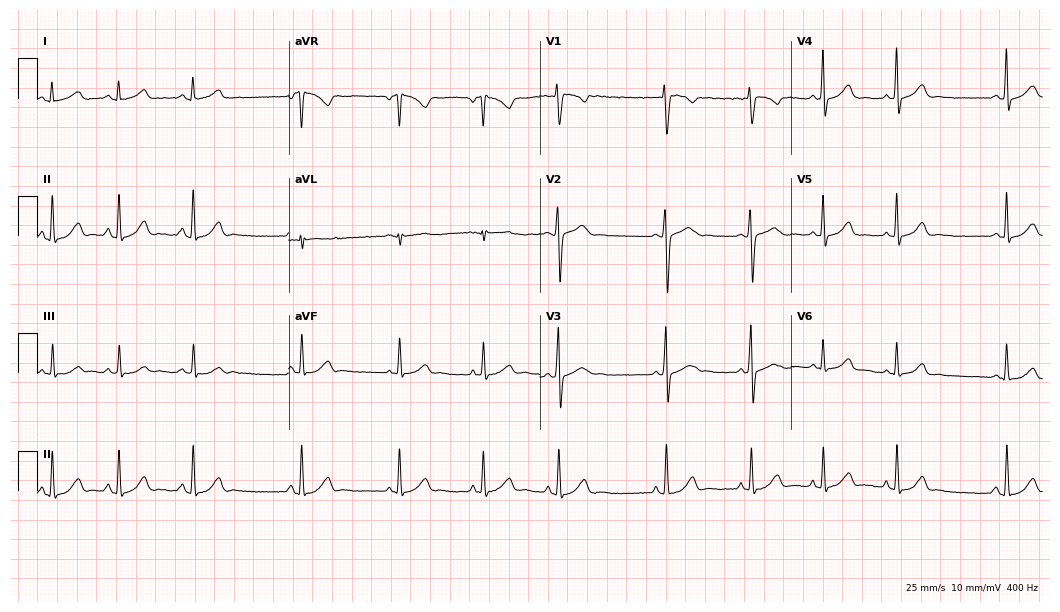
ECG — an 18-year-old female patient. Labelled as a normal ECG.